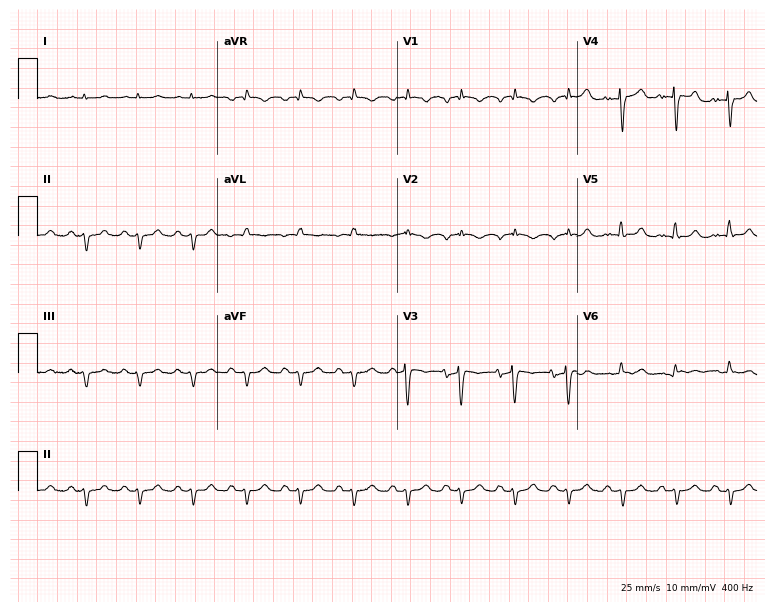
12-lead ECG (7.3-second recording at 400 Hz) from a male, 80 years old. Screened for six findings — first-degree AV block, right bundle branch block, left bundle branch block, sinus bradycardia, atrial fibrillation, sinus tachycardia — none is recorded.